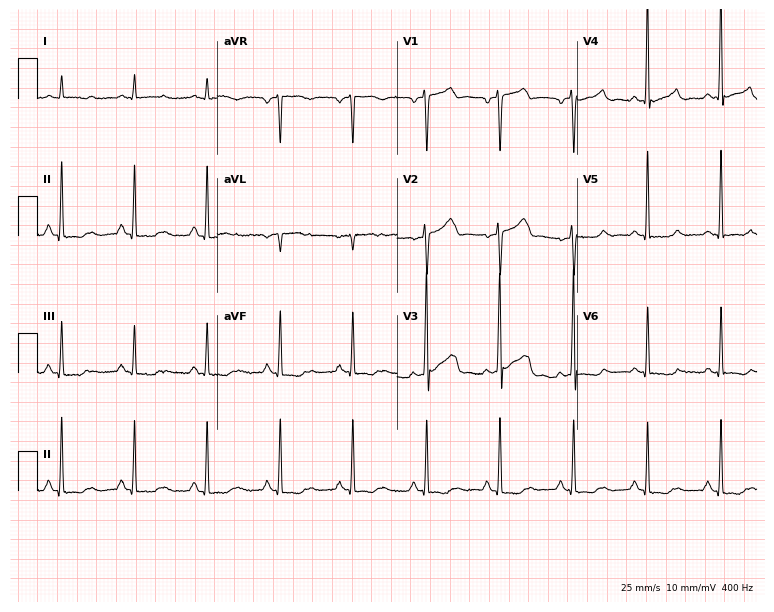
Resting 12-lead electrocardiogram (7.3-second recording at 400 Hz). Patient: a 67-year-old male. None of these six findings is recorded: first-degree AV block, right bundle branch block (RBBB), left bundle branch block (LBBB), sinus bradycardia, atrial fibrillation (AF), sinus tachycardia. Other findings, if any, are not listed.